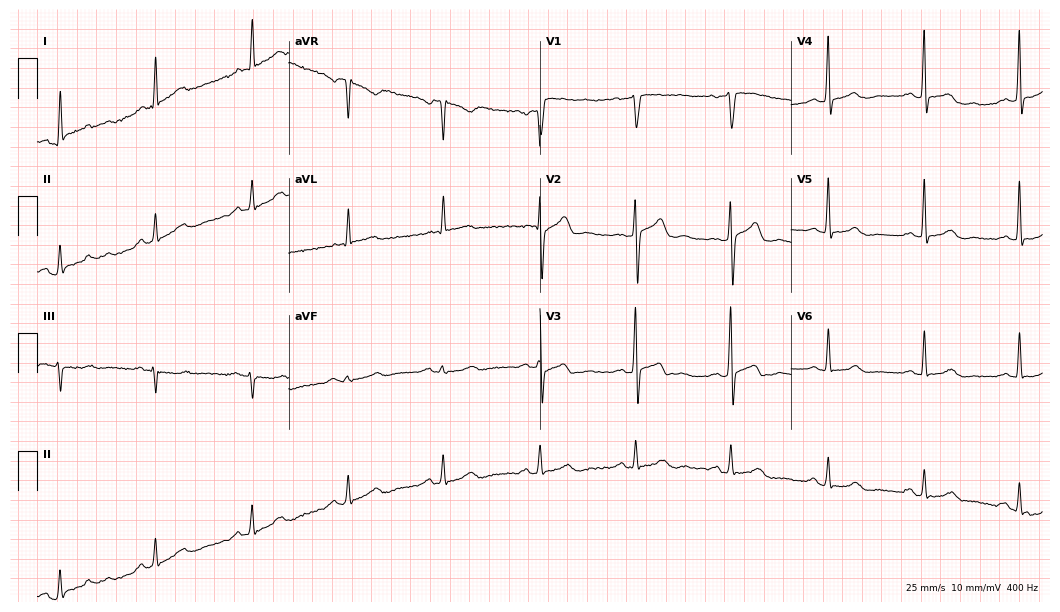
Electrocardiogram (10.2-second recording at 400 Hz), a 62-year-old man. Overall reading on record: normal ECG.